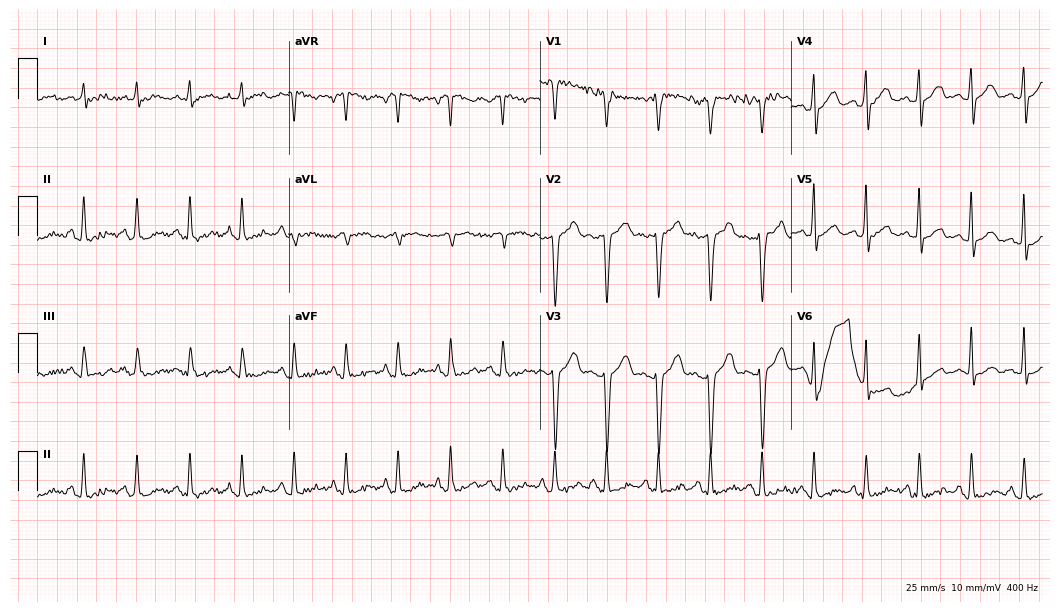
Electrocardiogram, a 47-year-old man. Of the six screened findings (first-degree AV block, right bundle branch block (RBBB), left bundle branch block (LBBB), sinus bradycardia, atrial fibrillation (AF), sinus tachycardia), none is recorded. Only these six findings were labelled.